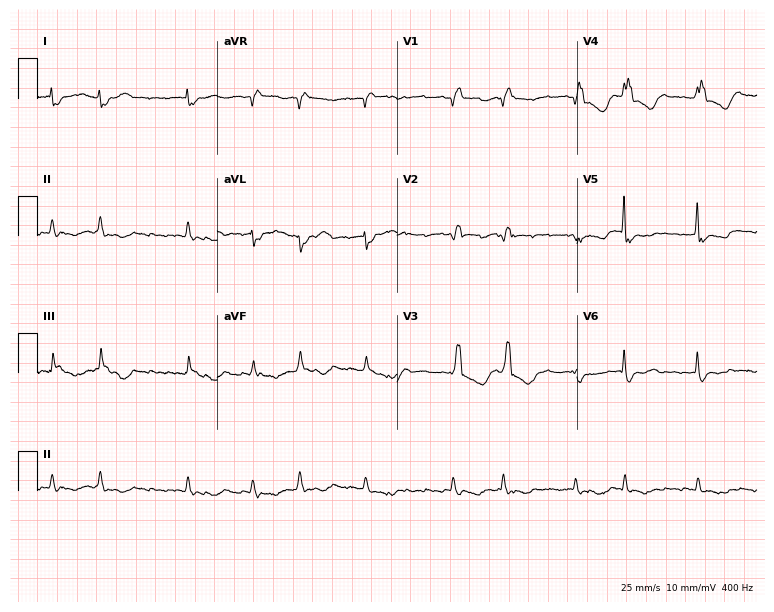
Resting 12-lead electrocardiogram. Patient: a female, 68 years old. The tracing shows right bundle branch block, atrial fibrillation.